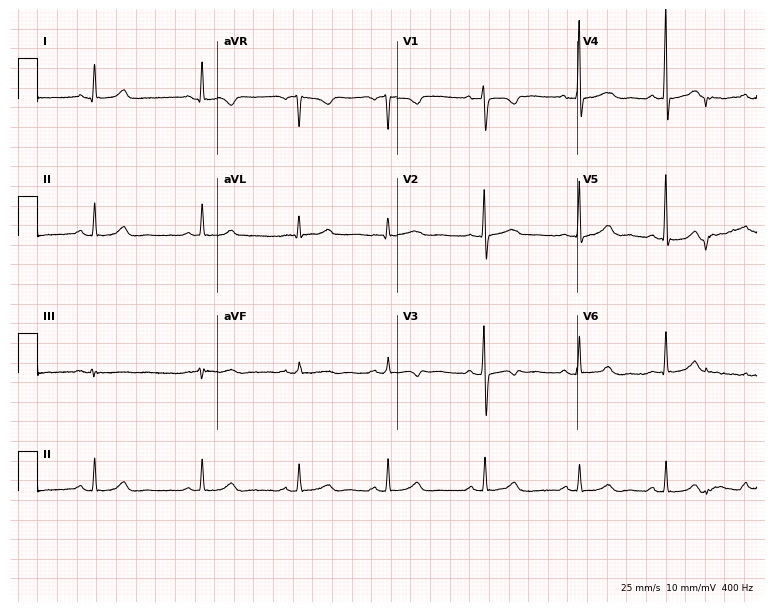
12-lead ECG from a 38-year-old female. Labelled as a normal ECG.